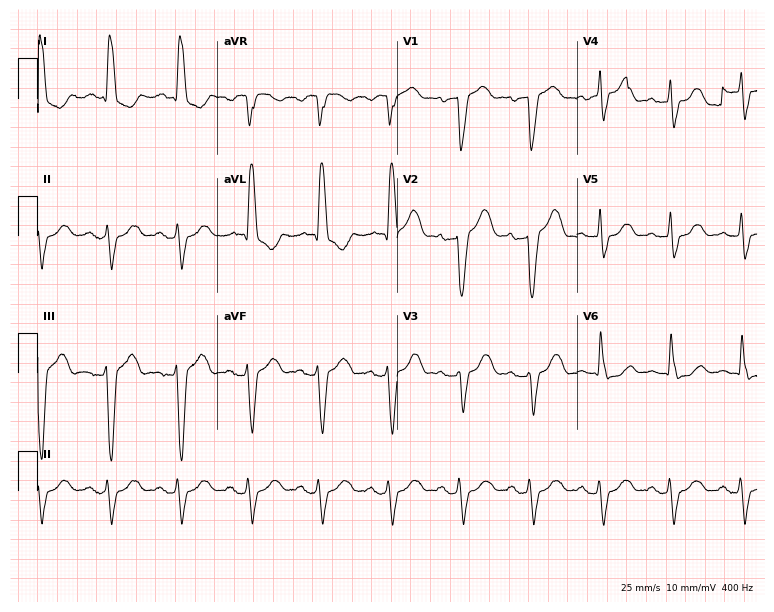
ECG — a female, 80 years old. Screened for six findings — first-degree AV block, right bundle branch block, left bundle branch block, sinus bradycardia, atrial fibrillation, sinus tachycardia — none is recorded.